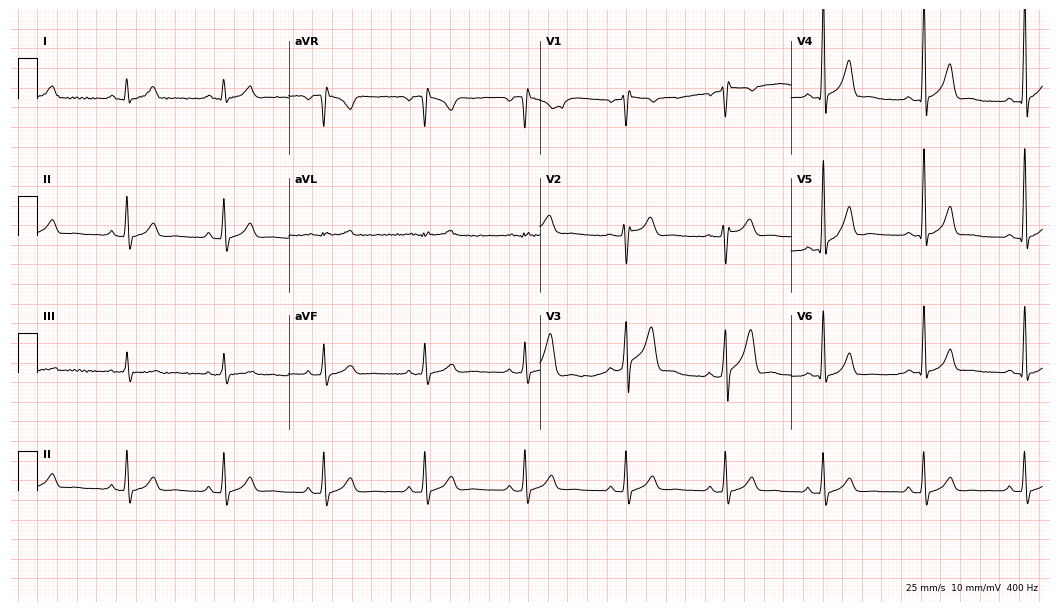
ECG — a 43-year-old female. Screened for six findings — first-degree AV block, right bundle branch block (RBBB), left bundle branch block (LBBB), sinus bradycardia, atrial fibrillation (AF), sinus tachycardia — none is recorded. Other findings, if any, are not listed.